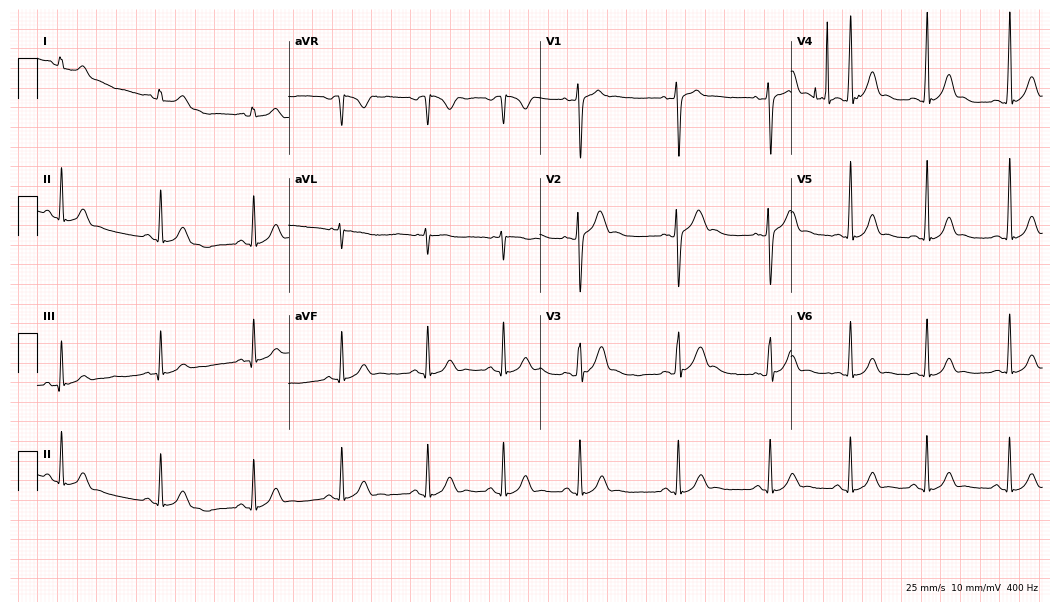
12-lead ECG from a man, 18 years old (10.2-second recording at 400 Hz). Recorded interpretation: within normal limits.